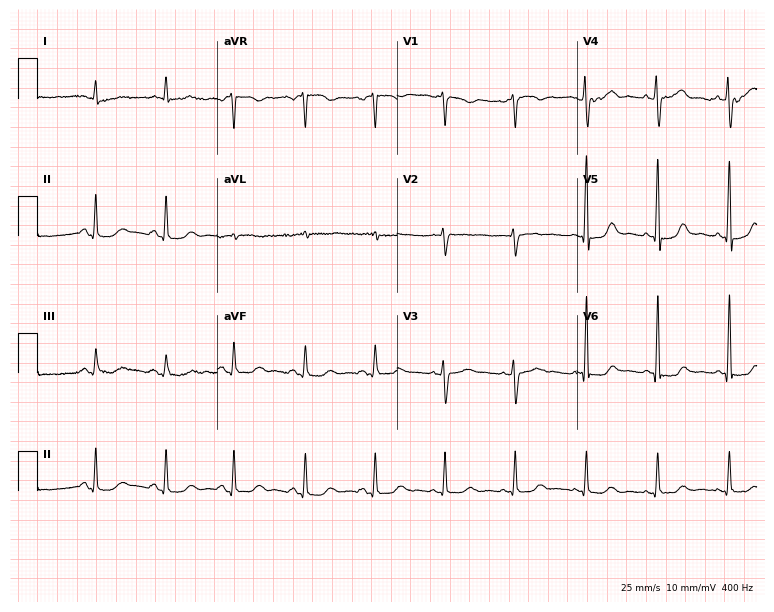
Resting 12-lead electrocardiogram. Patient: a woman, 72 years old. None of these six findings is recorded: first-degree AV block, right bundle branch block, left bundle branch block, sinus bradycardia, atrial fibrillation, sinus tachycardia. Findings outside these six are not listed.